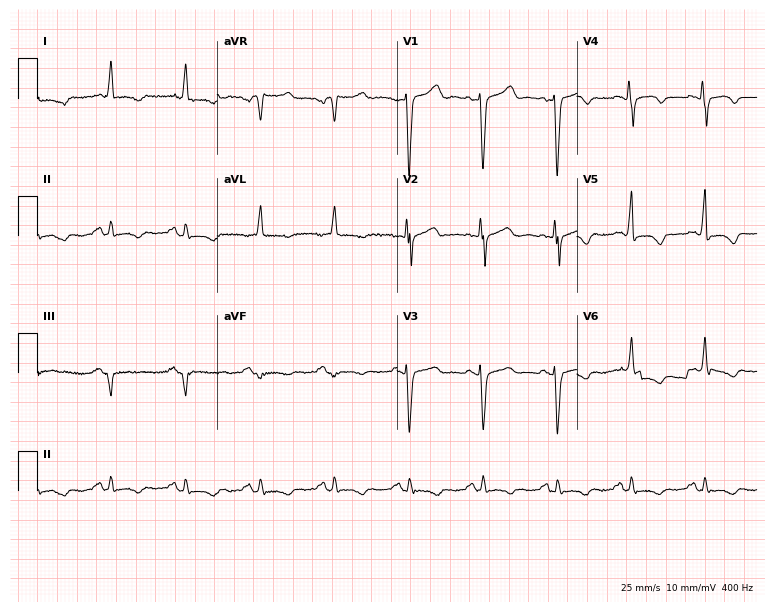
12-lead ECG from a female patient, 74 years old (7.3-second recording at 400 Hz). No first-degree AV block, right bundle branch block, left bundle branch block, sinus bradycardia, atrial fibrillation or sinus tachycardia recorded for this tracing. Other findings, if any, are not listed.